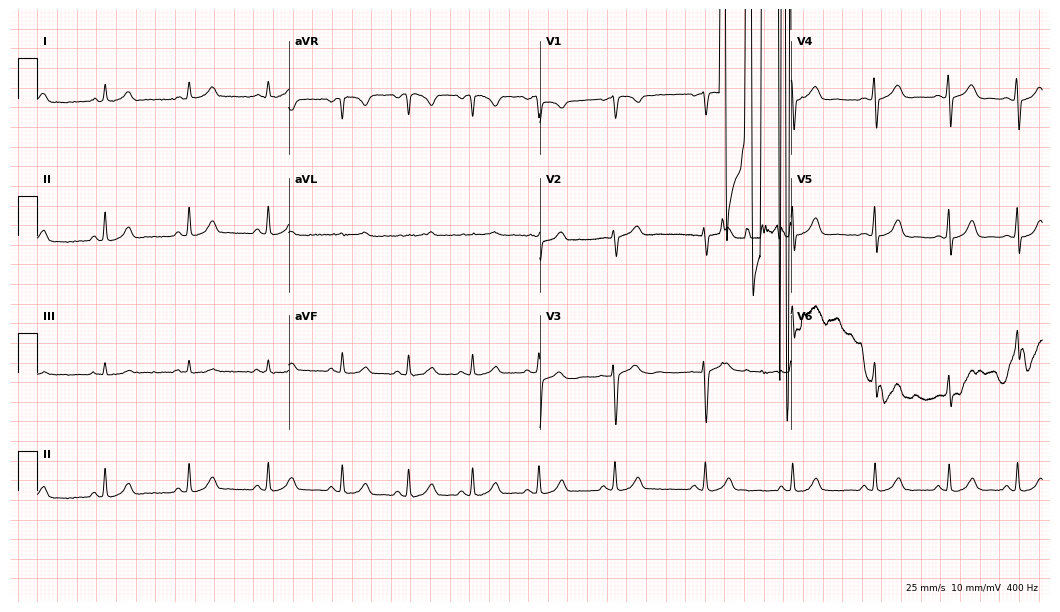
ECG (10.2-second recording at 400 Hz) — a female patient, 21 years old. Screened for six findings — first-degree AV block, right bundle branch block, left bundle branch block, sinus bradycardia, atrial fibrillation, sinus tachycardia — none is recorded.